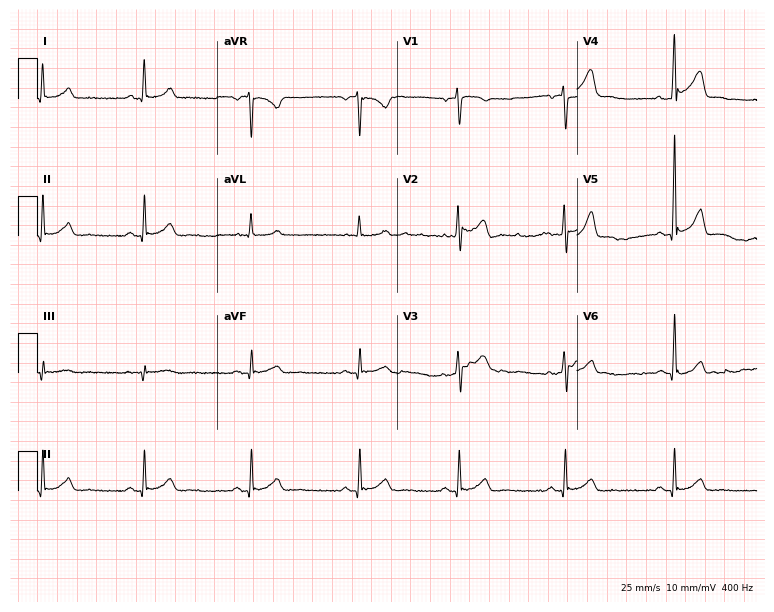
Electrocardiogram (7.3-second recording at 400 Hz), a man, 50 years old. Overall reading on record: normal ECG.